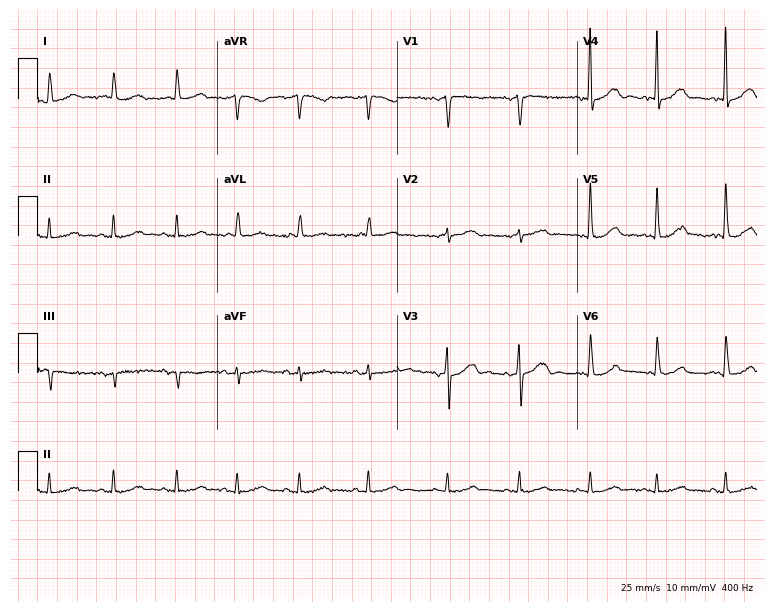
Resting 12-lead electrocardiogram (7.3-second recording at 400 Hz). Patient: a female, 81 years old. Read as a normal ECG.